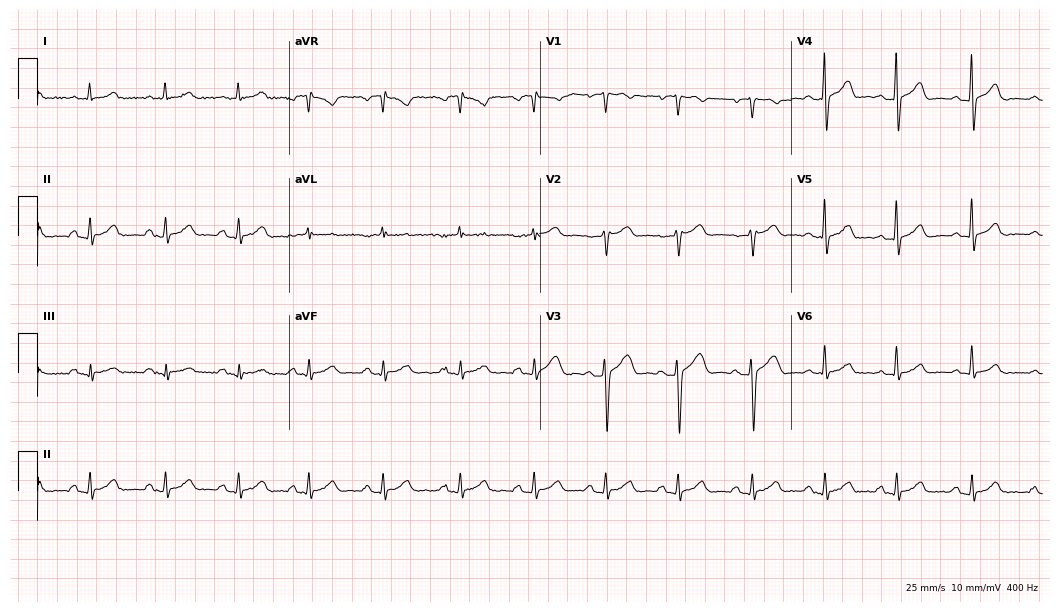
Resting 12-lead electrocardiogram (10.2-second recording at 400 Hz). Patient: a female, 53 years old. Read as a normal ECG.